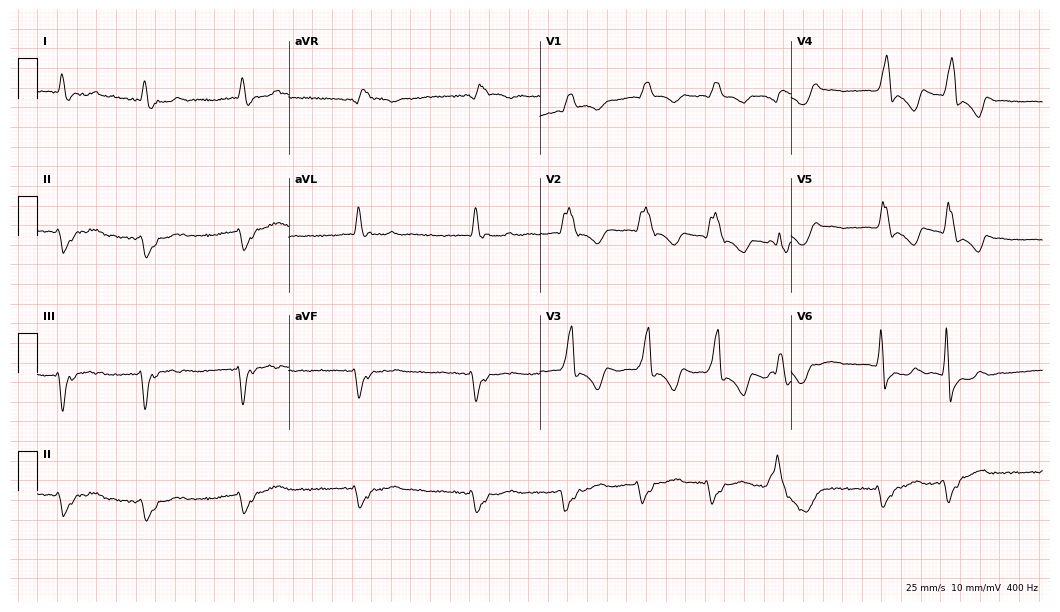
12-lead ECG from a male, 79 years old. Shows right bundle branch block, atrial fibrillation.